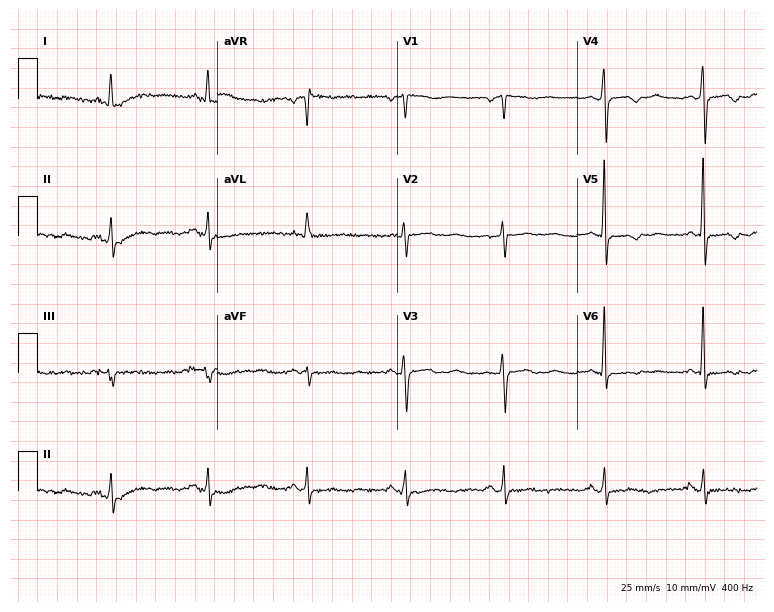
12-lead ECG from a 52-year-old female patient. No first-degree AV block, right bundle branch block, left bundle branch block, sinus bradycardia, atrial fibrillation or sinus tachycardia recorded for this tracing. Only these six findings were labelled.